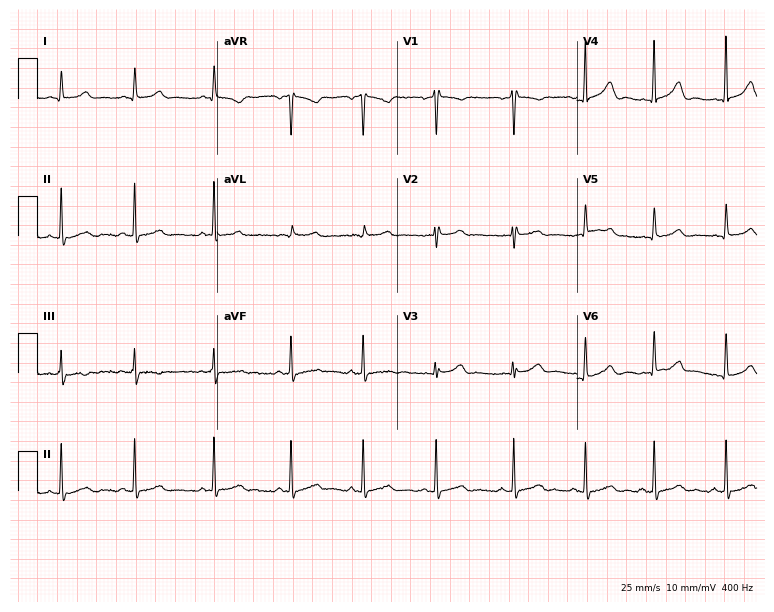
Electrocardiogram (7.3-second recording at 400 Hz), a 22-year-old woman. Of the six screened findings (first-degree AV block, right bundle branch block (RBBB), left bundle branch block (LBBB), sinus bradycardia, atrial fibrillation (AF), sinus tachycardia), none is recorded. Other findings, if any, are not listed.